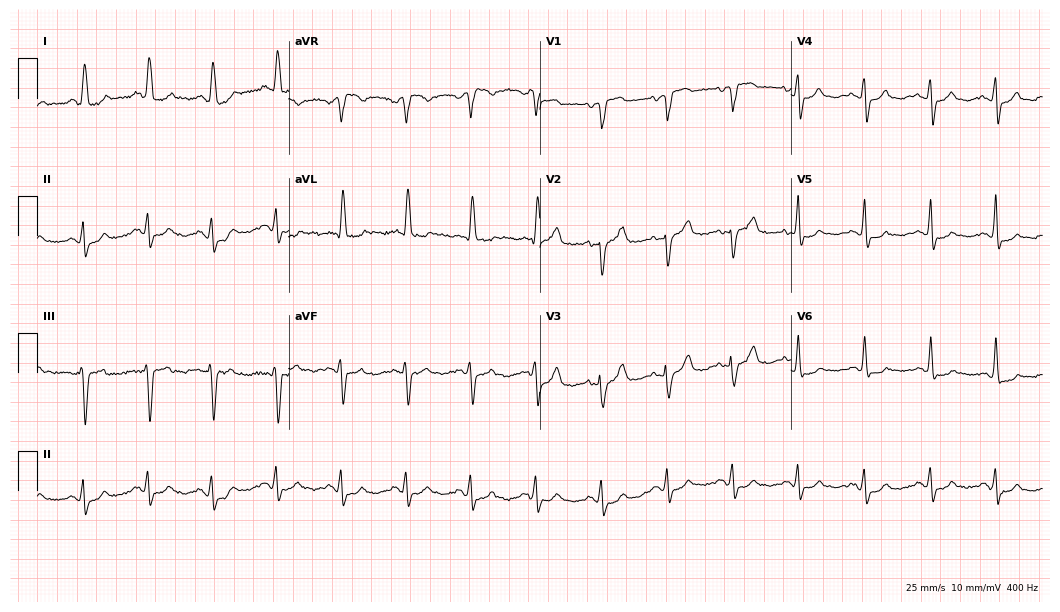
Electrocardiogram (10.2-second recording at 400 Hz), a woman, 72 years old. Of the six screened findings (first-degree AV block, right bundle branch block, left bundle branch block, sinus bradycardia, atrial fibrillation, sinus tachycardia), none is recorded.